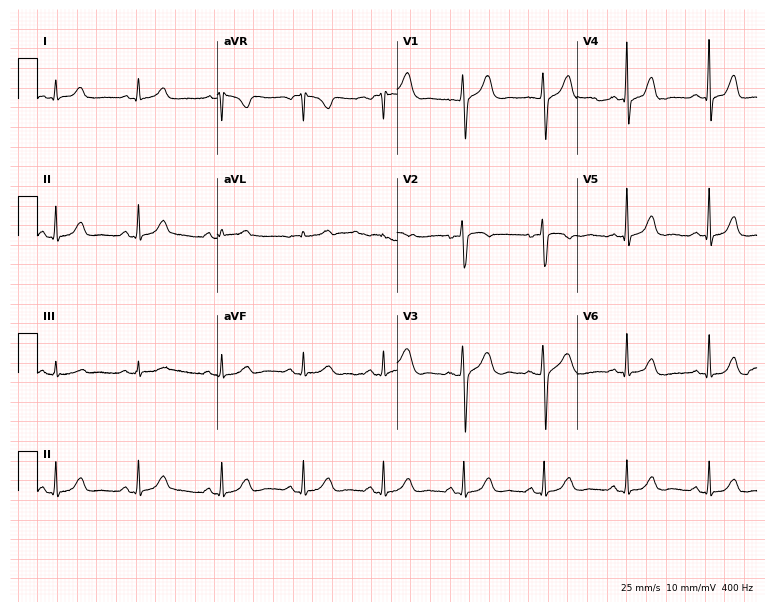
ECG — a 54-year-old female. Labelled as a normal ECG.